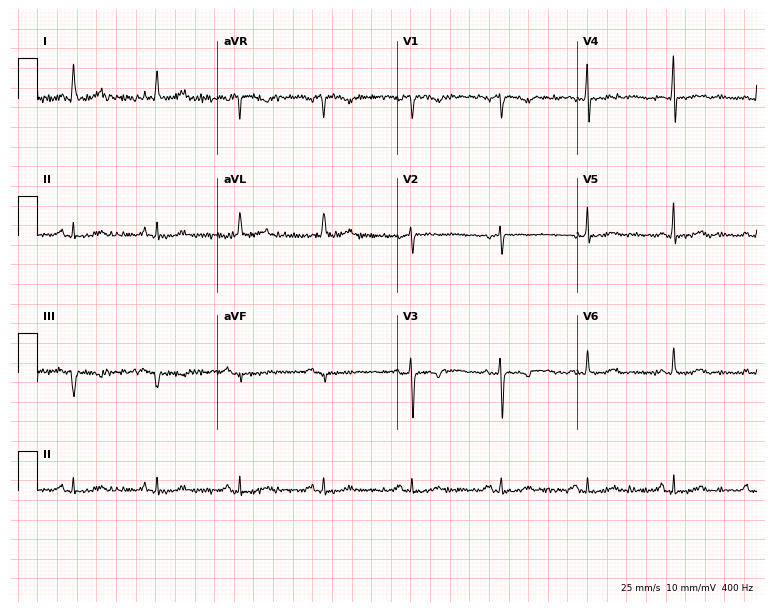
Resting 12-lead electrocardiogram. Patient: a female, 62 years old. Read as a normal ECG.